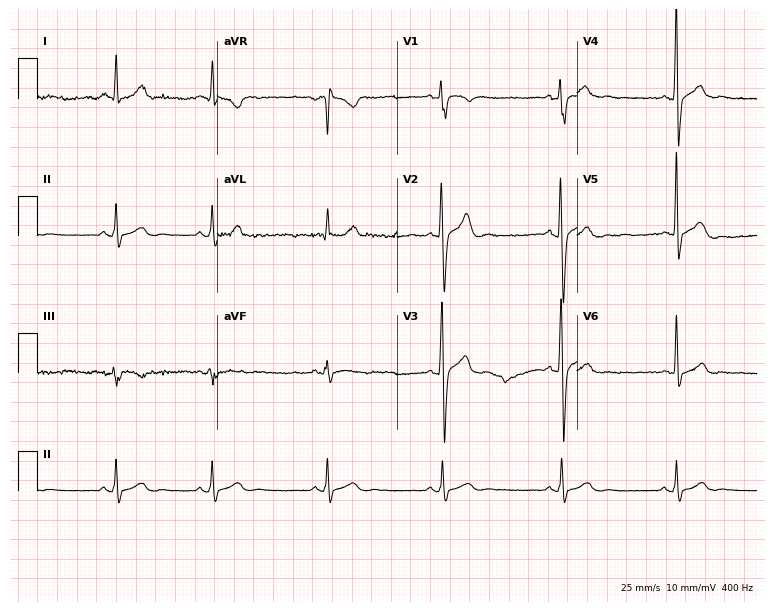
Electrocardiogram, a male patient, 25 years old. Of the six screened findings (first-degree AV block, right bundle branch block, left bundle branch block, sinus bradycardia, atrial fibrillation, sinus tachycardia), none is recorded.